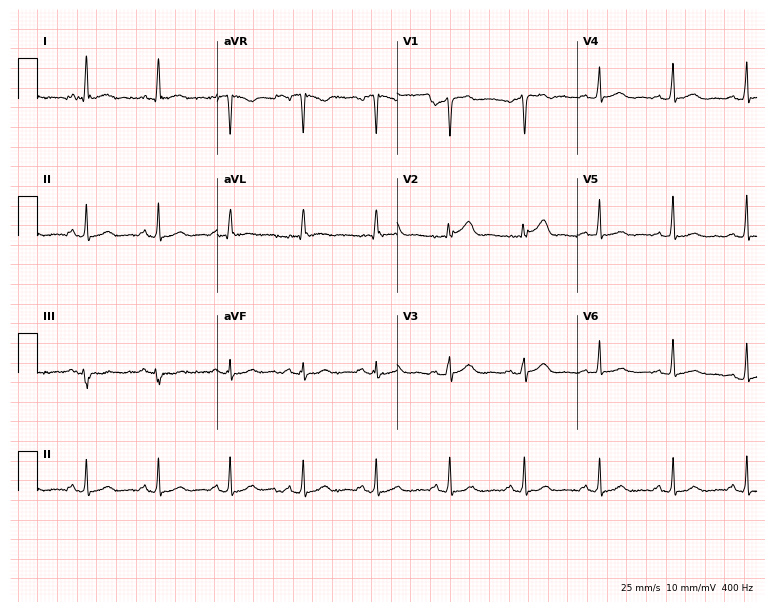
ECG — a 58-year-old man. Screened for six findings — first-degree AV block, right bundle branch block, left bundle branch block, sinus bradycardia, atrial fibrillation, sinus tachycardia — none is recorded. Other findings, if any, are not listed.